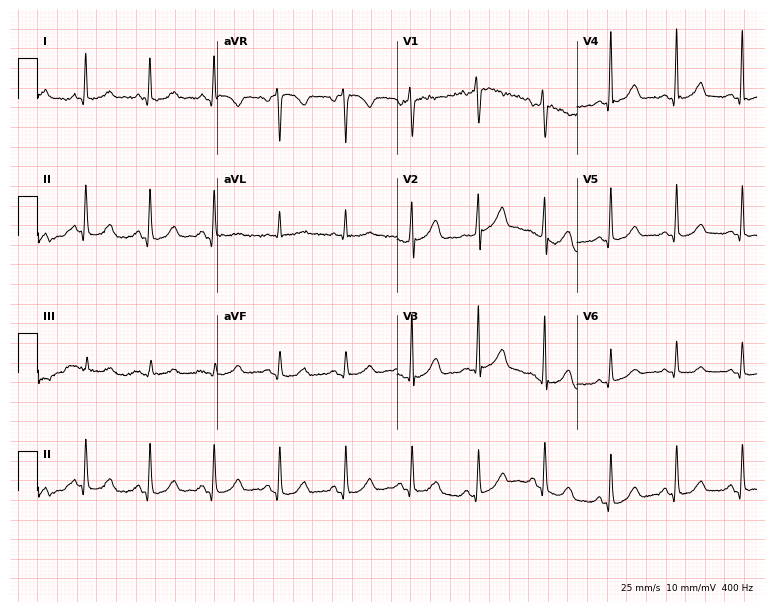
12-lead ECG from a female patient, 57 years old (7.3-second recording at 400 Hz). Recorded interpretation: within normal limits.